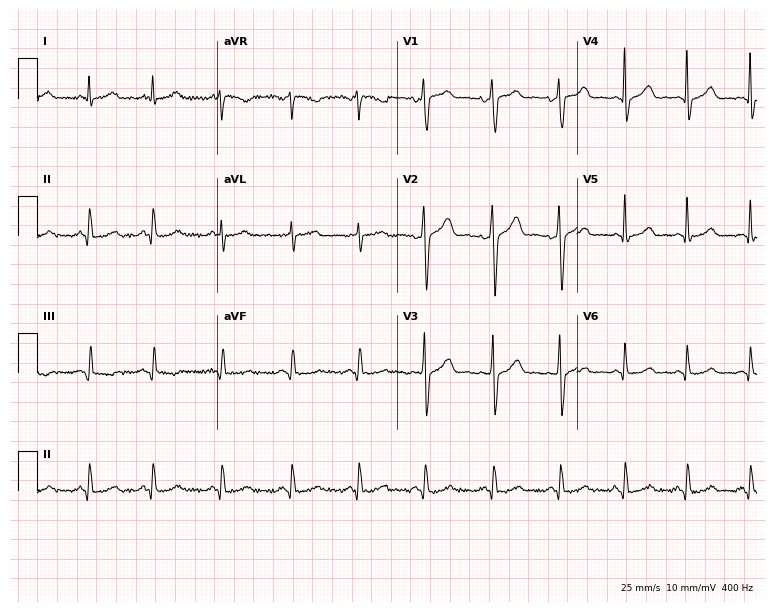
Resting 12-lead electrocardiogram (7.3-second recording at 400 Hz). Patient: a male, 46 years old. Read as a normal ECG.